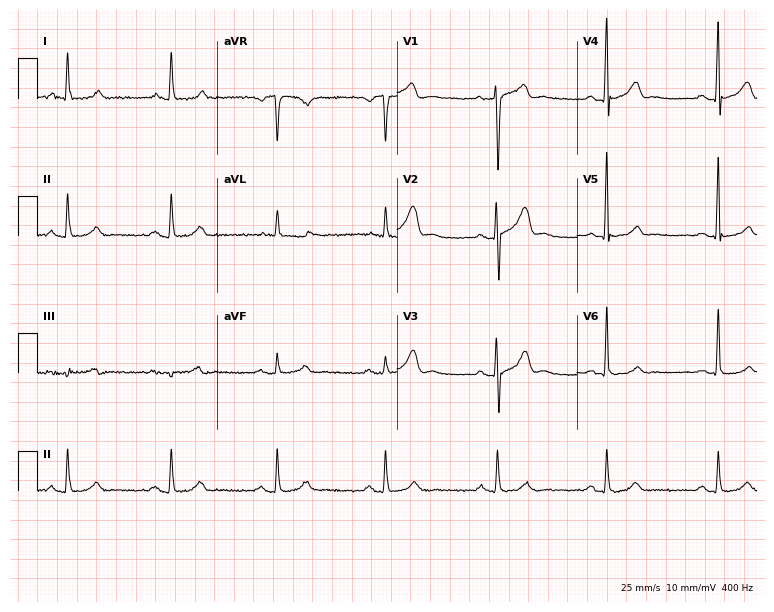
12-lead ECG (7.3-second recording at 400 Hz) from a male patient, 69 years old. Labelled as a normal ECG.